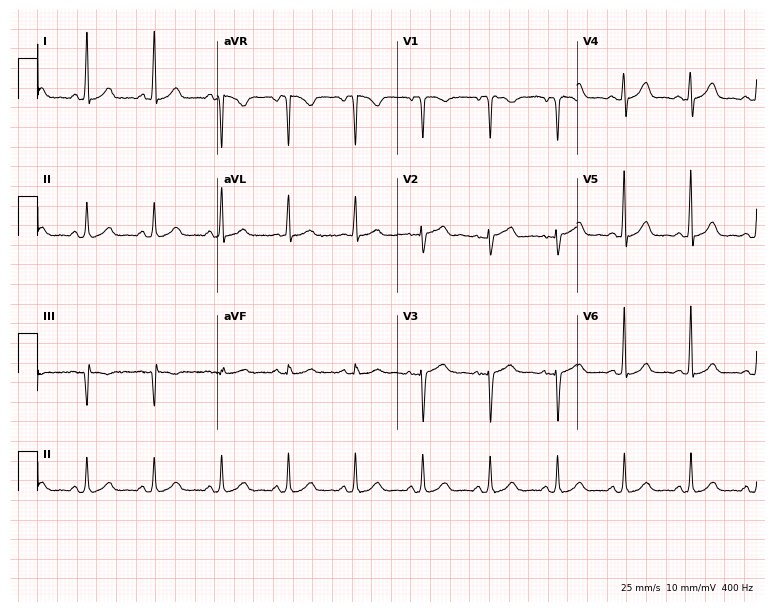
Standard 12-lead ECG recorded from a woman, 64 years old. Read as a normal ECG.